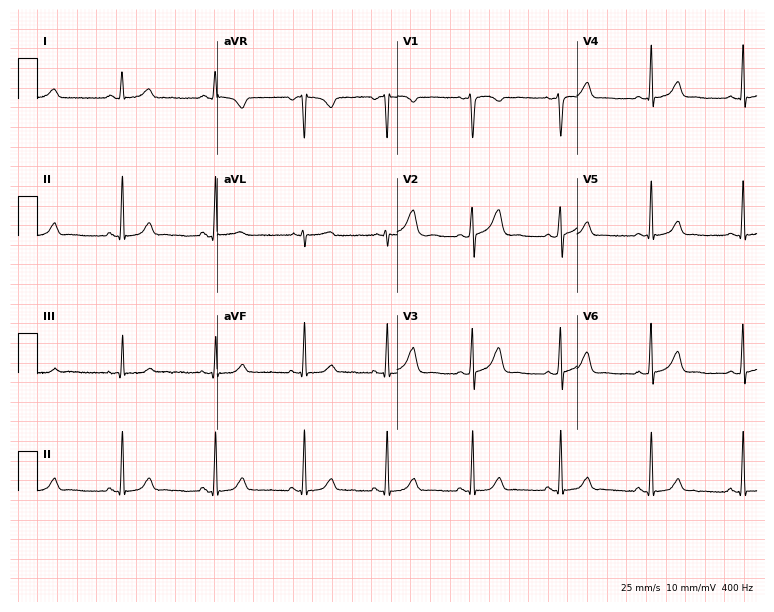
Standard 12-lead ECG recorded from a 25-year-old female patient (7.3-second recording at 400 Hz). Read as a normal ECG.